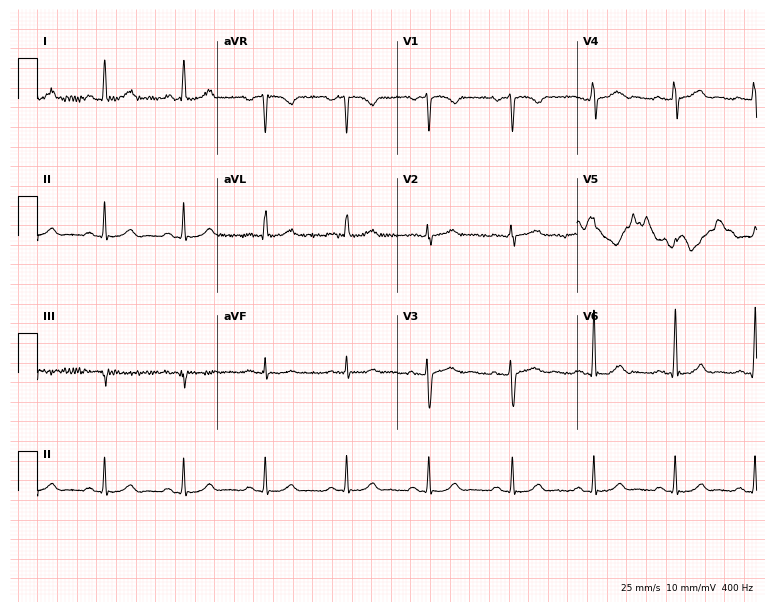
12-lead ECG (7.3-second recording at 400 Hz) from a 45-year-old female patient. Labelled as a normal ECG.